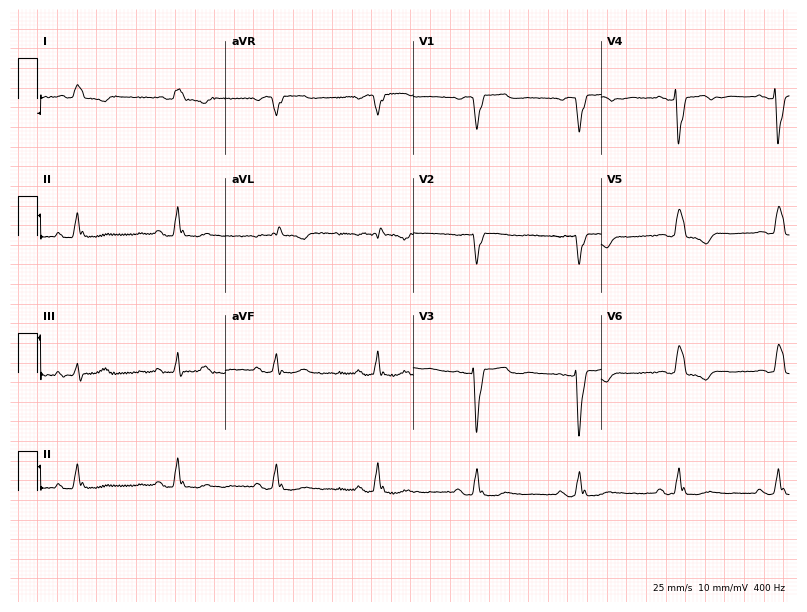
12-lead ECG (7.7-second recording at 400 Hz) from a female, 73 years old. Findings include left bundle branch block.